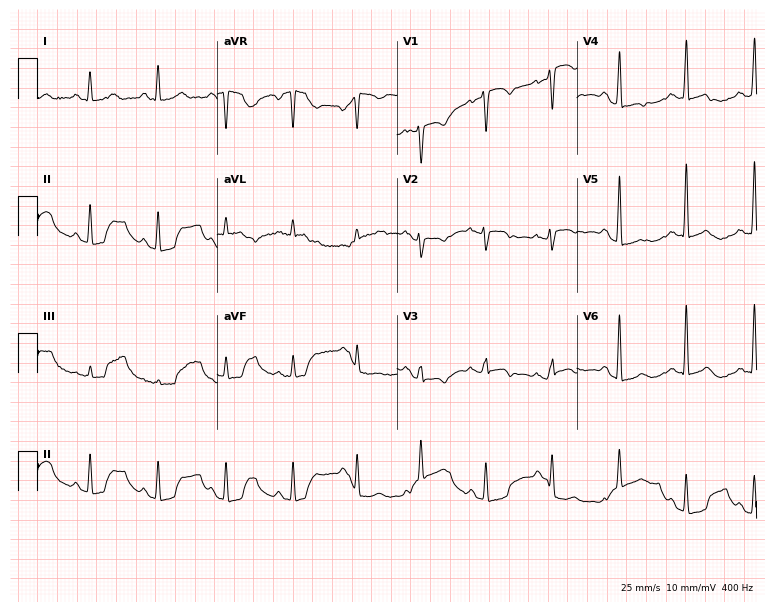
Resting 12-lead electrocardiogram. Patient: a 35-year-old woman. None of these six findings is recorded: first-degree AV block, right bundle branch block, left bundle branch block, sinus bradycardia, atrial fibrillation, sinus tachycardia.